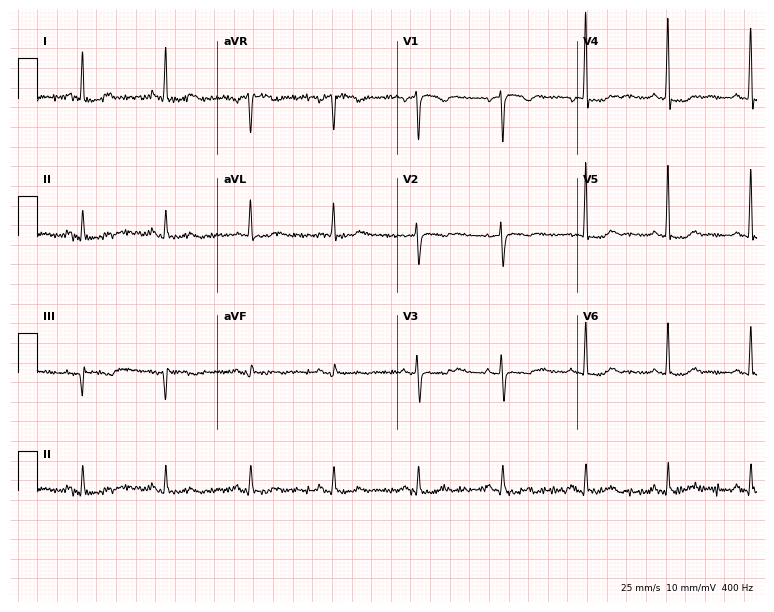
Electrocardiogram, a 73-year-old woman. Overall reading on record: normal ECG.